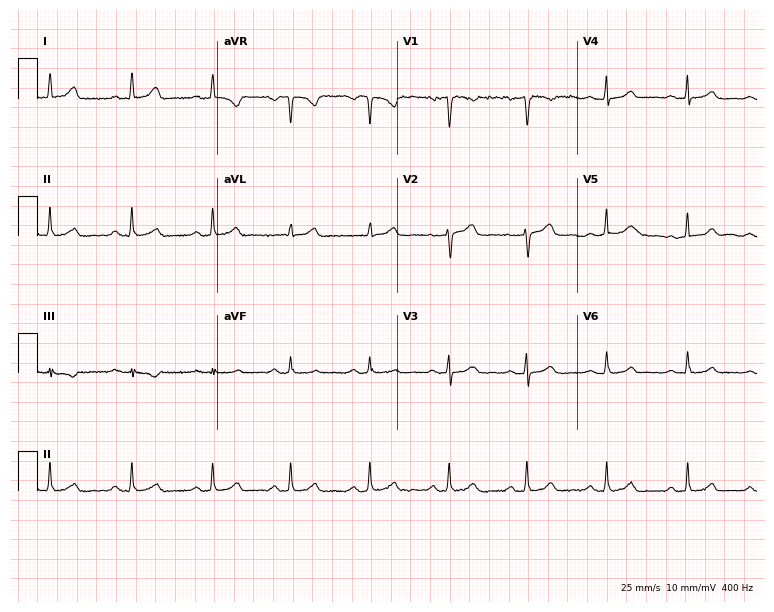
Electrocardiogram, a woman, 40 years old. Overall reading on record: normal ECG.